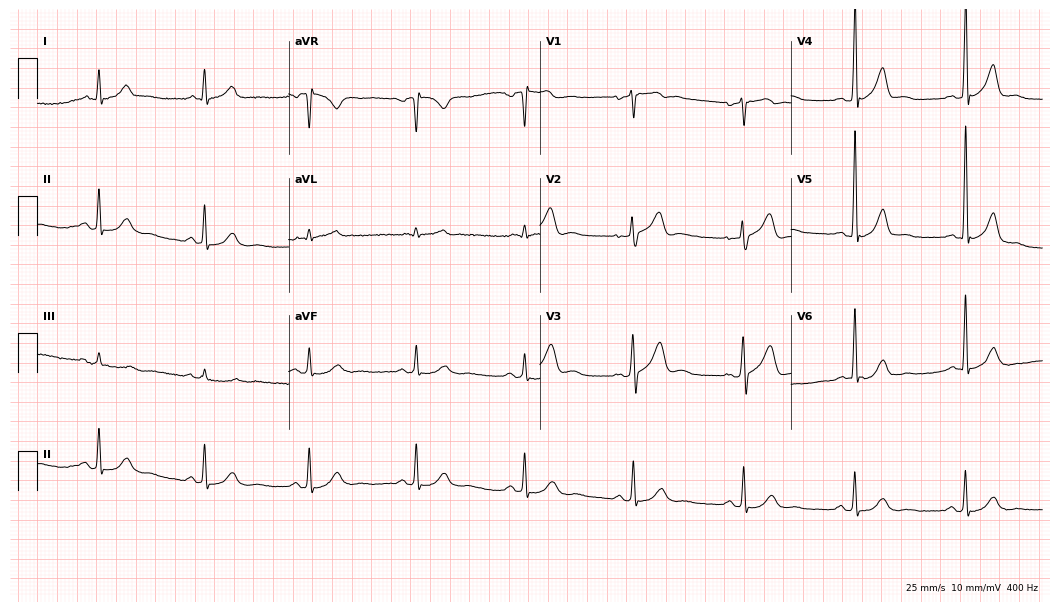
12-lead ECG from a man, 62 years old. Labelled as a normal ECG.